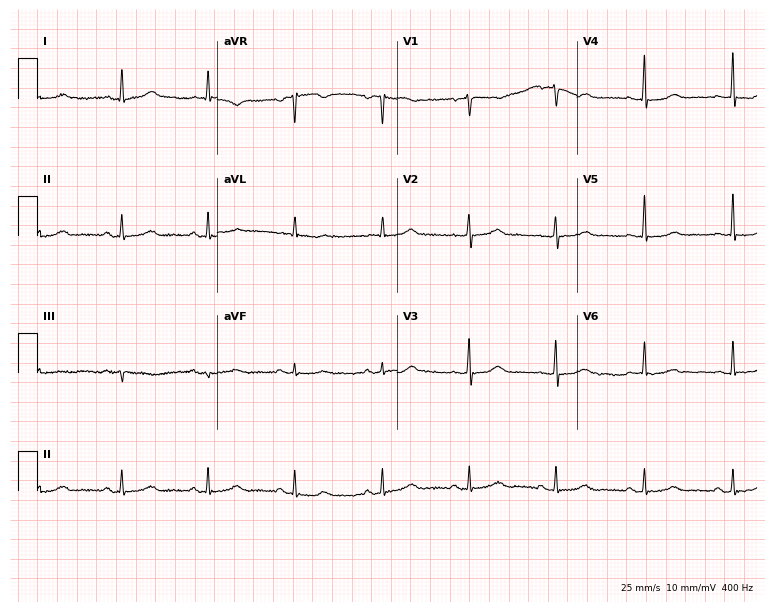
12-lead ECG from a female patient, 58 years old. No first-degree AV block, right bundle branch block, left bundle branch block, sinus bradycardia, atrial fibrillation or sinus tachycardia recorded for this tracing. Only these six findings were labelled.